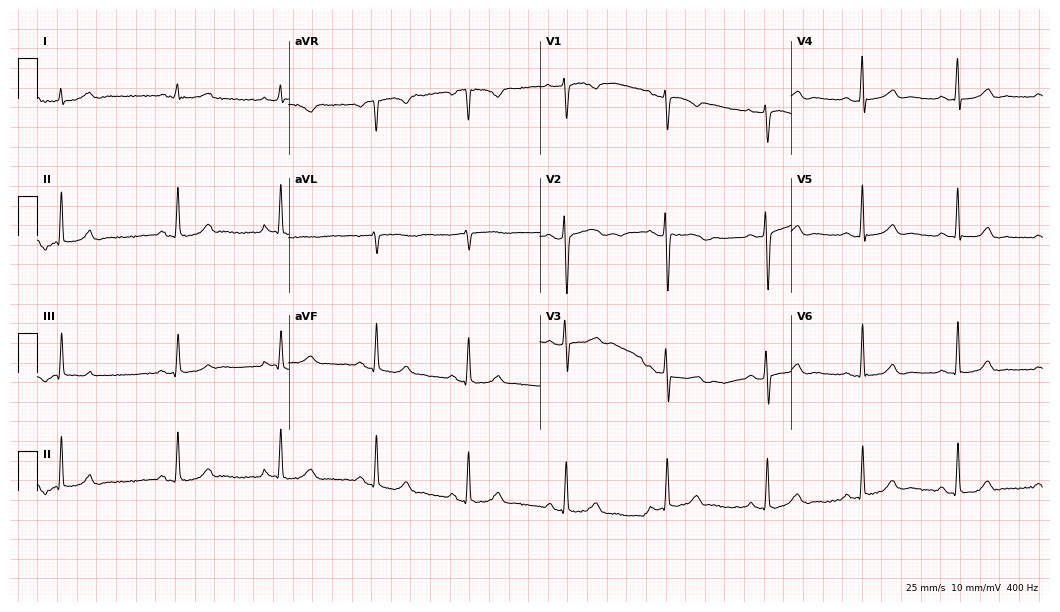
12-lead ECG (10.2-second recording at 400 Hz) from a female patient, 64 years old. Screened for six findings — first-degree AV block, right bundle branch block (RBBB), left bundle branch block (LBBB), sinus bradycardia, atrial fibrillation (AF), sinus tachycardia — none is recorded. Only these six findings were labelled.